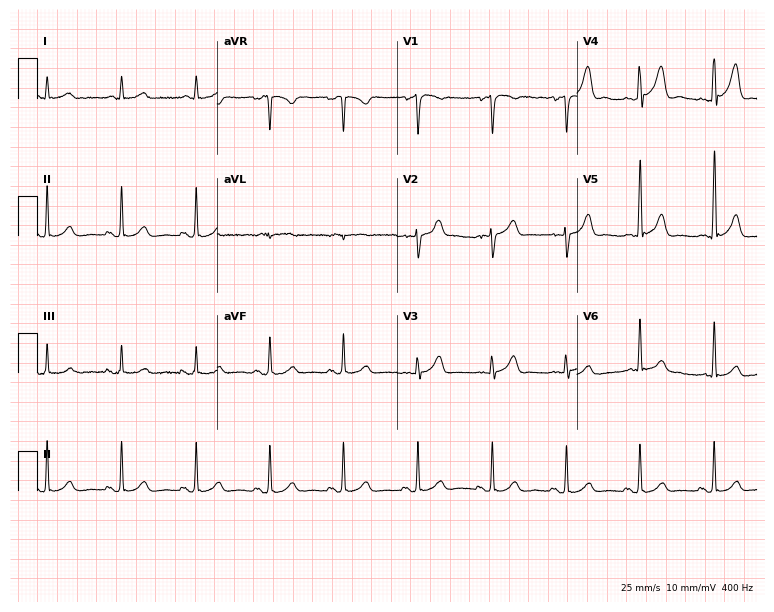
Electrocardiogram (7.3-second recording at 400 Hz), a 65-year-old male. Of the six screened findings (first-degree AV block, right bundle branch block, left bundle branch block, sinus bradycardia, atrial fibrillation, sinus tachycardia), none is recorded. Only these six findings were labelled.